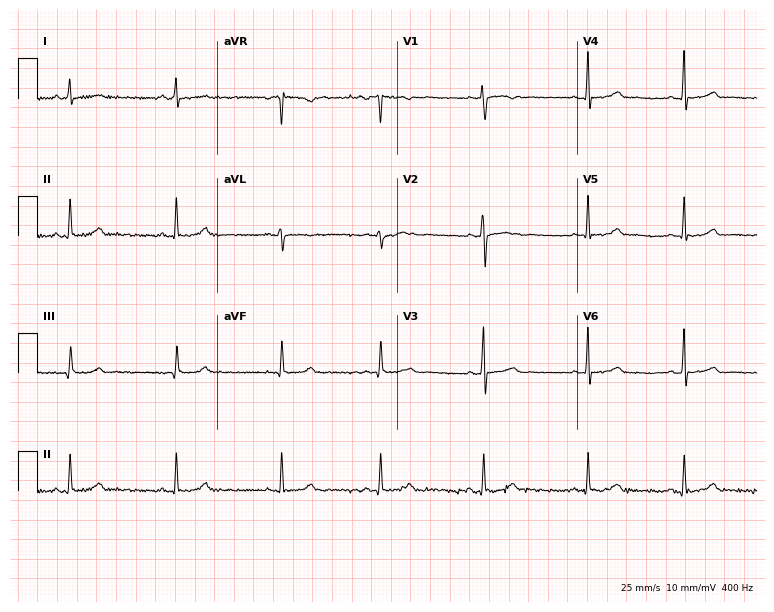
Electrocardiogram (7.3-second recording at 400 Hz), a female patient, 20 years old. Of the six screened findings (first-degree AV block, right bundle branch block (RBBB), left bundle branch block (LBBB), sinus bradycardia, atrial fibrillation (AF), sinus tachycardia), none is recorded.